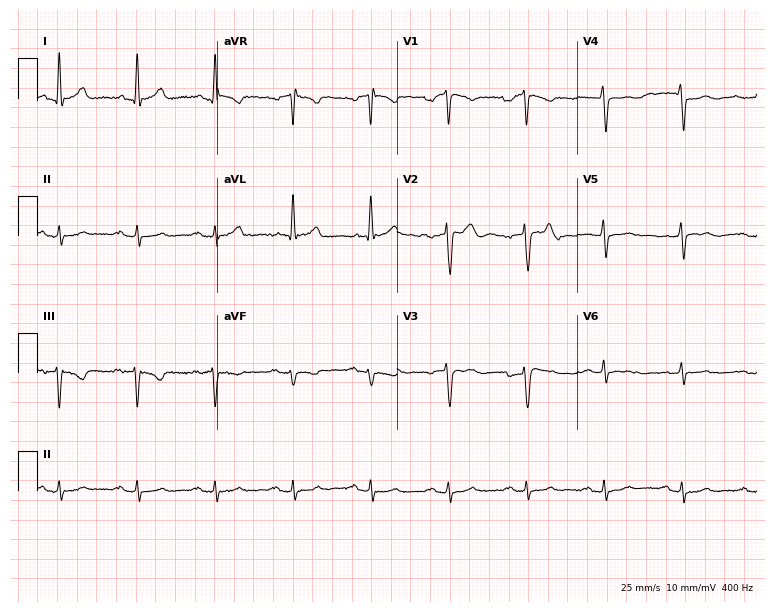
Electrocardiogram (7.3-second recording at 400 Hz), a male patient, 56 years old. Of the six screened findings (first-degree AV block, right bundle branch block, left bundle branch block, sinus bradycardia, atrial fibrillation, sinus tachycardia), none is recorded. Other findings, if any, are not listed.